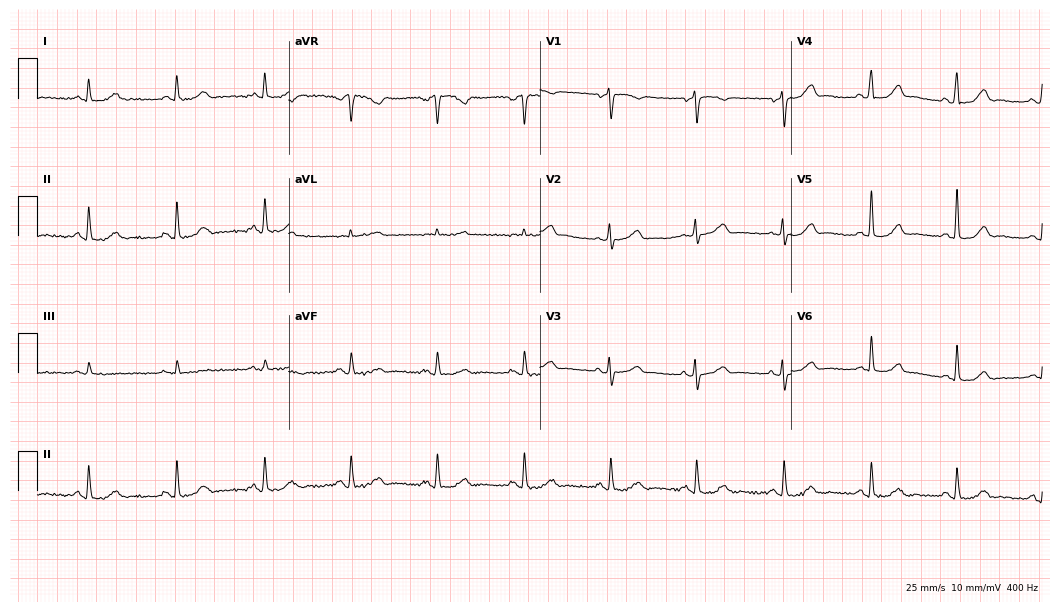
ECG — a 75-year-old female. Labelled as a normal ECG.